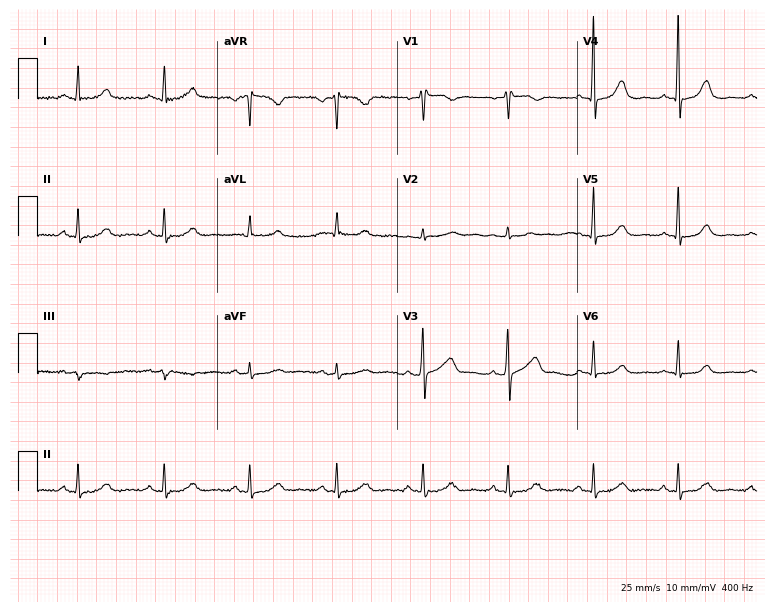
12-lead ECG from a 49-year-old female. Recorded interpretation: within normal limits.